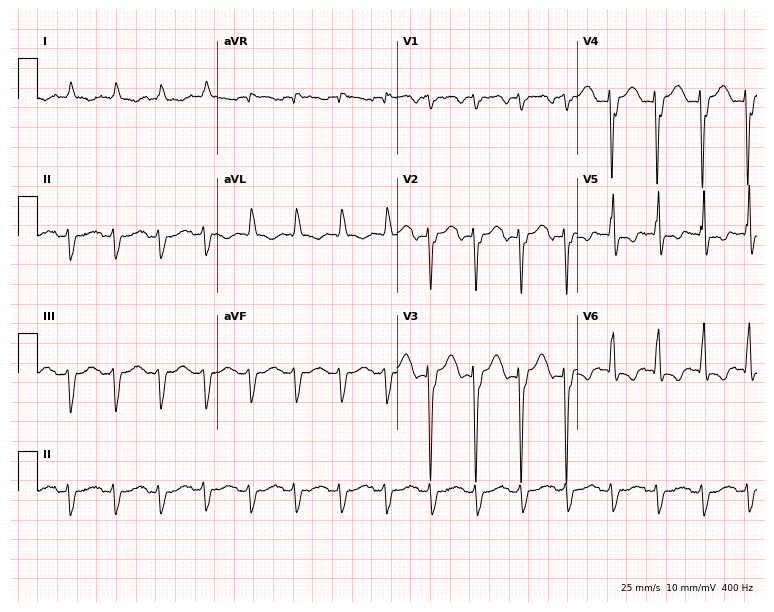
Resting 12-lead electrocardiogram (7.3-second recording at 400 Hz). Patient: a female, 49 years old. The tracing shows sinus tachycardia (a sinus rate of 100 beats per minute or more).